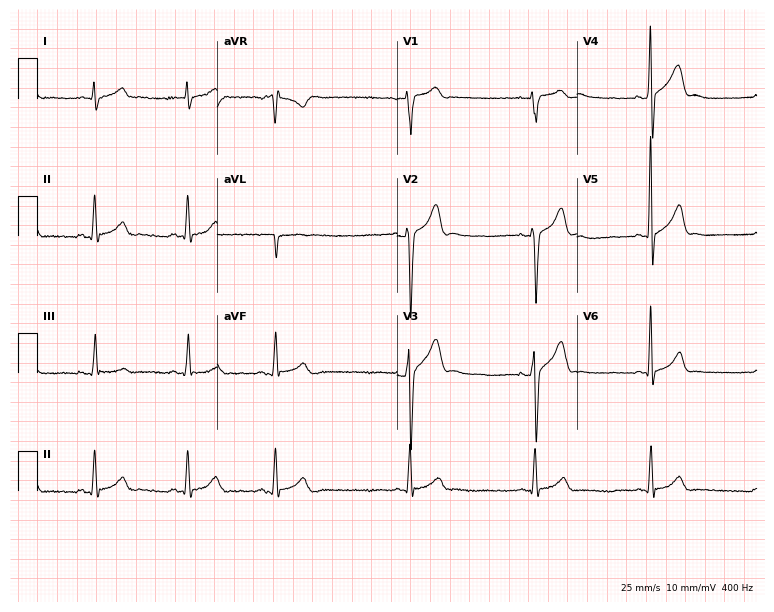
12-lead ECG from a man, 20 years old. Recorded interpretation: within normal limits.